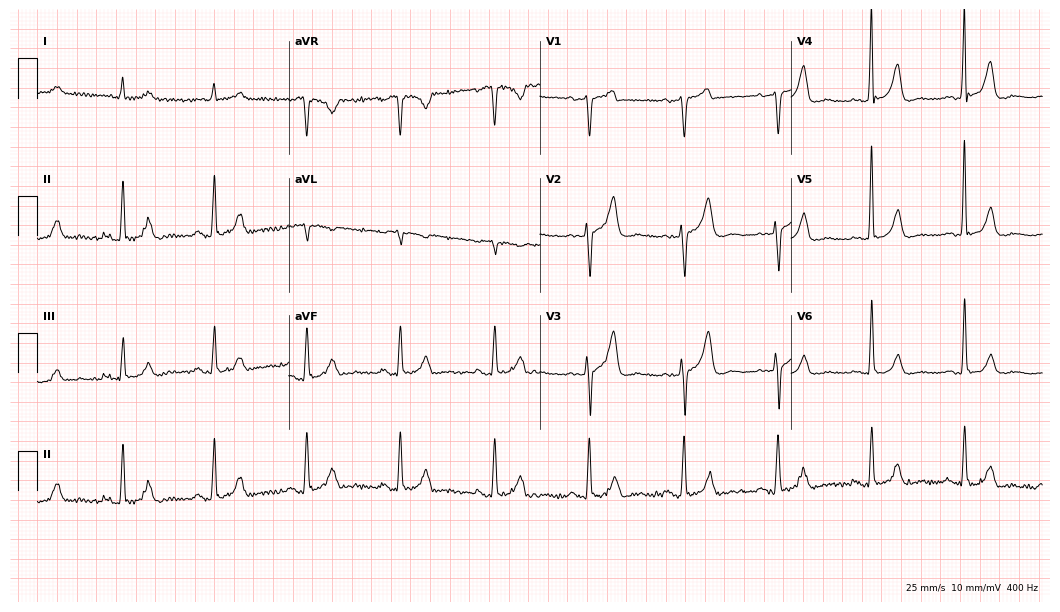
Standard 12-lead ECG recorded from a 65-year-old male. Read as a normal ECG.